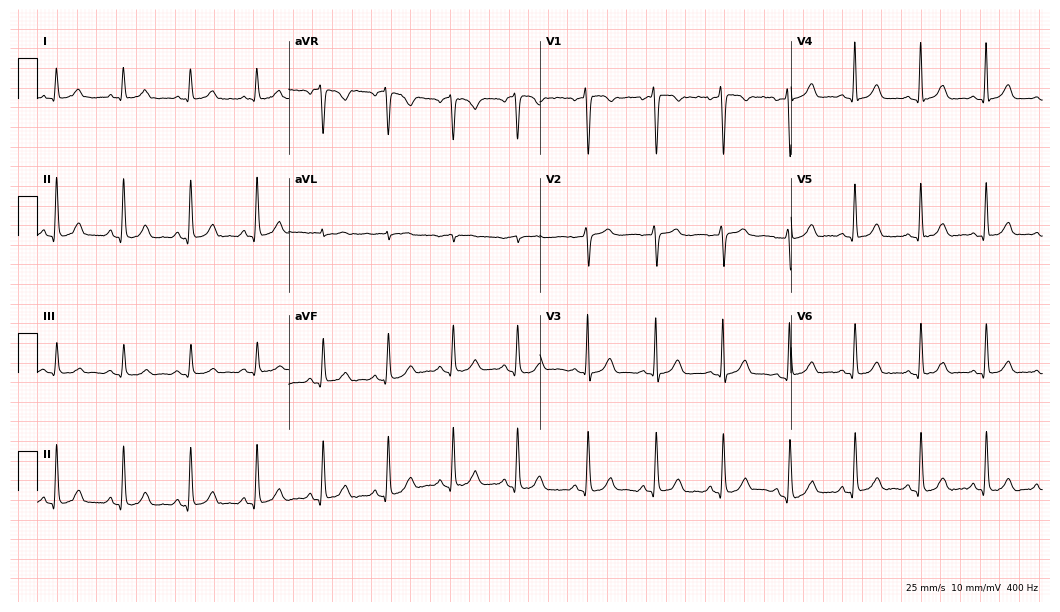
12-lead ECG from a 35-year-old female patient. Recorded interpretation: within normal limits.